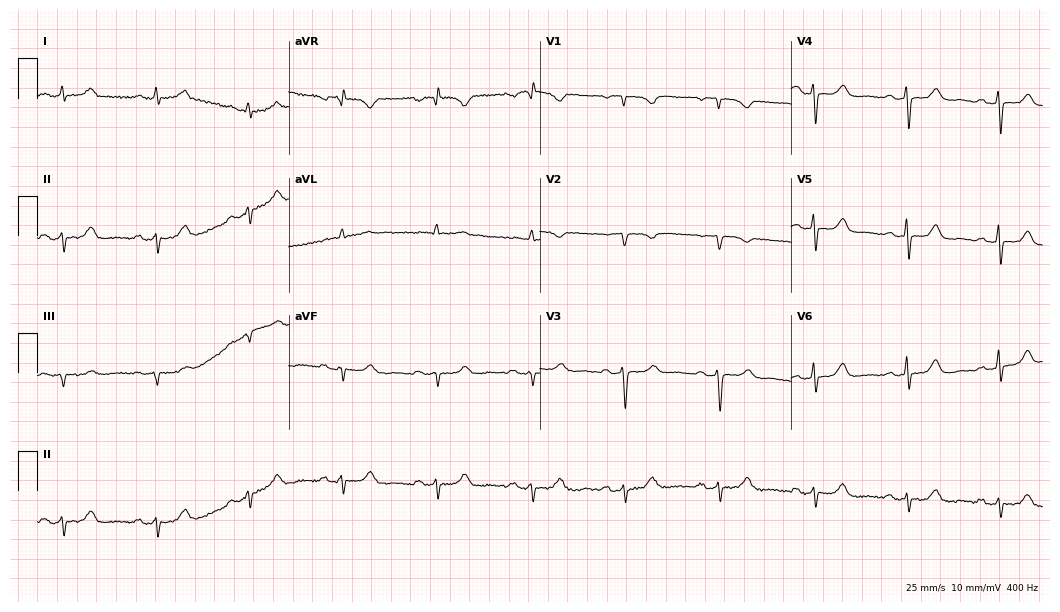
Electrocardiogram (10.2-second recording at 400 Hz), a 70-year-old woman. Overall reading on record: normal ECG.